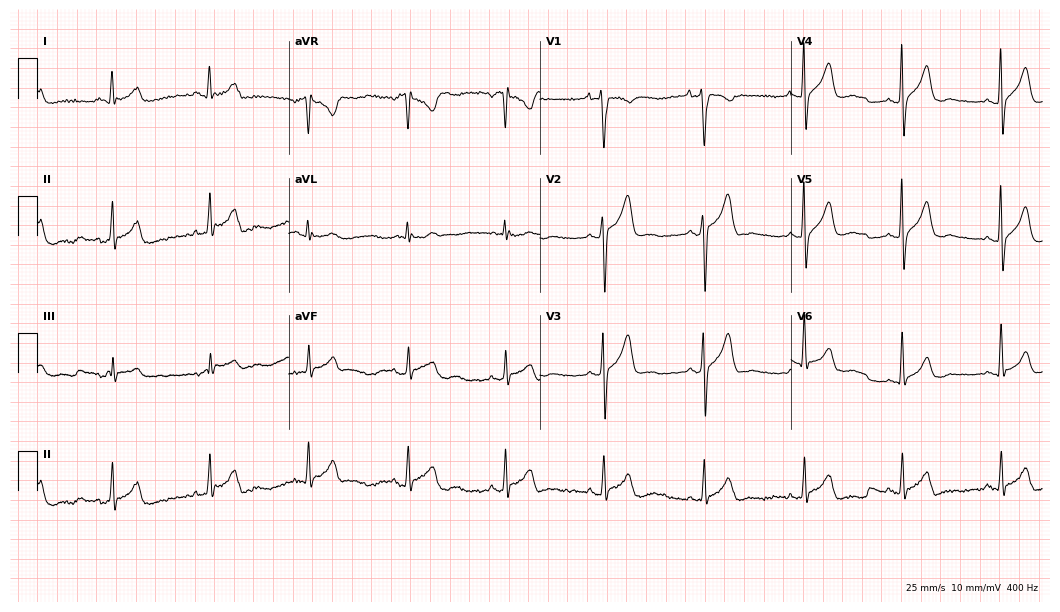
ECG (10.2-second recording at 400 Hz) — a 32-year-old male. Labelled as a normal ECG.